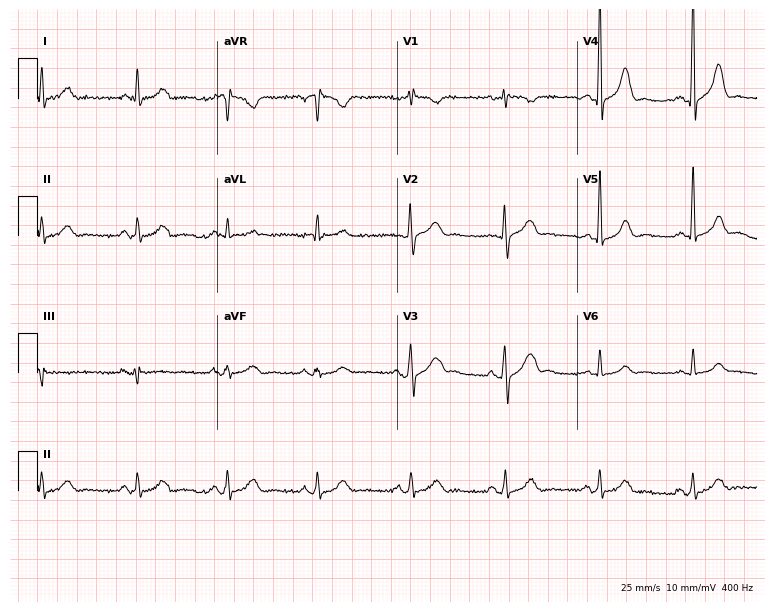
Electrocardiogram (7.3-second recording at 400 Hz), a 64-year-old male. Overall reading on record: normal ECG.